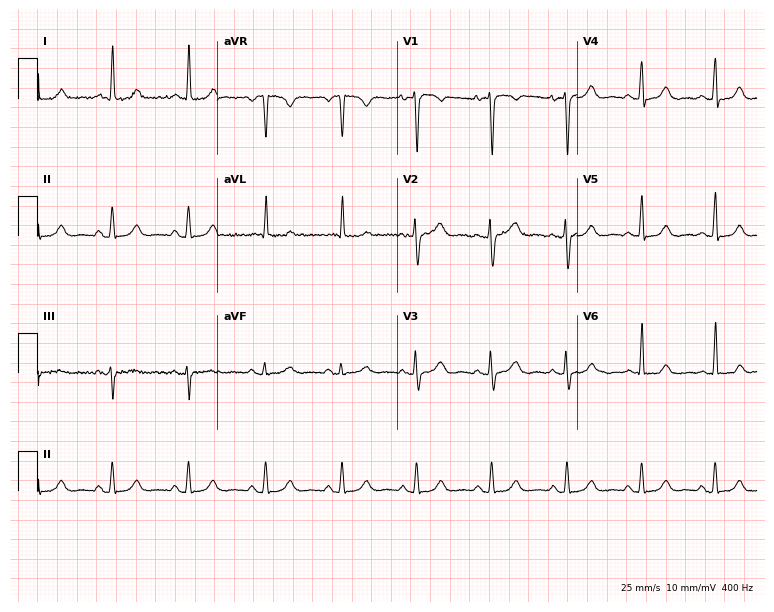
12-lead ECG from a 44-year-old woman. Screened for six findings — first-degree AV block, right bundle branch block, left bundle branch block, sinus bradycardia, atrial fibrillation, sinus tachycardia — none is recorded. Other findings, if any, are not listed.